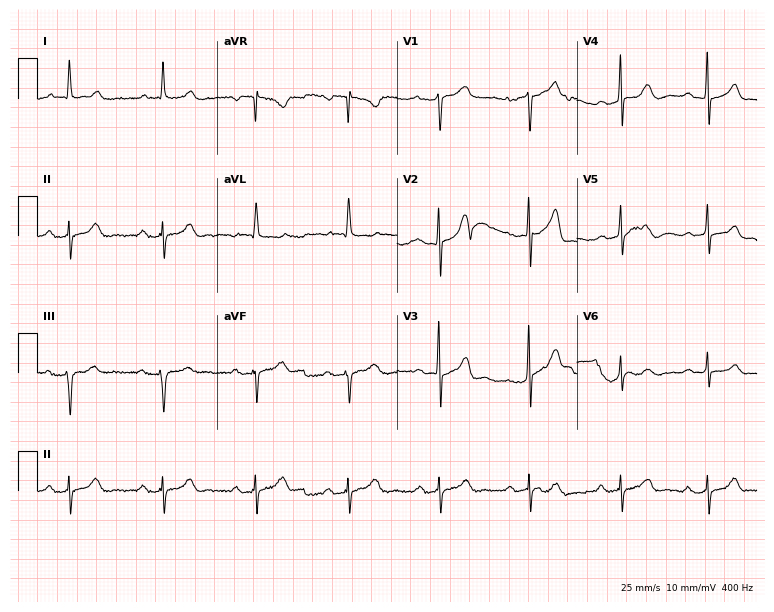
12-lead ECG from a man, 57 years old. Shows first-degree AV block.